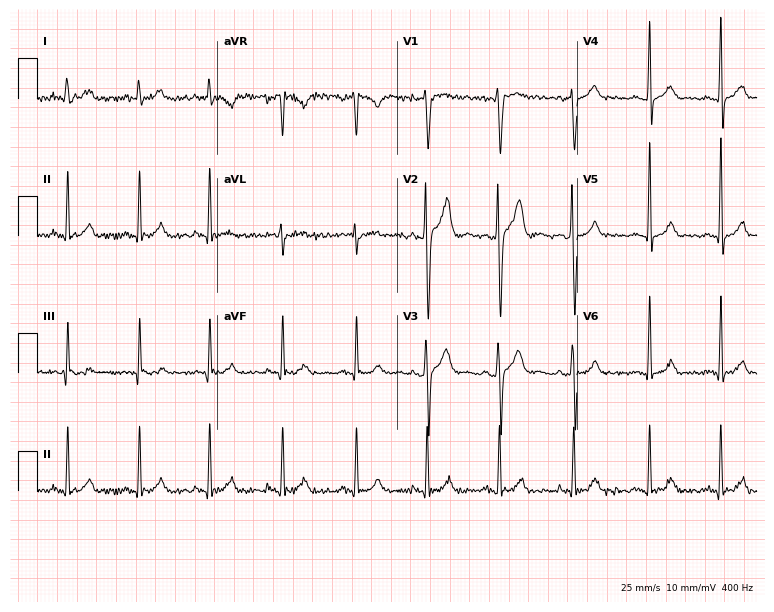
12-lead ECG from a male, 21 years old. Recorded interpretation: within normal limits.